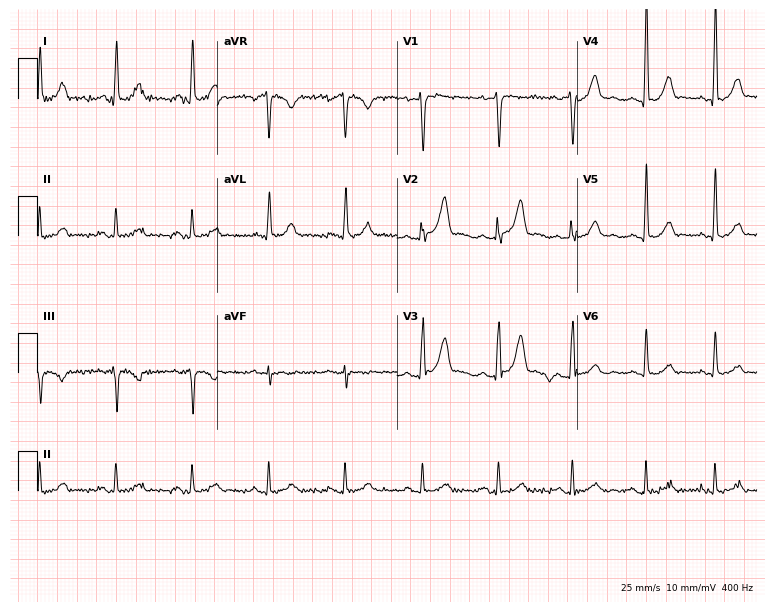
Resting 12-lead electrocardiogram (7.3-second recording at 400 Hz). Patient: a 44-year-old male. None of these six findings is recorded: first-degree AV block, right bundle branch block, left bundle branch block, sinus bradycardia, atrial fibrillation, sinus tachycardia. Only these six findings were labelled.